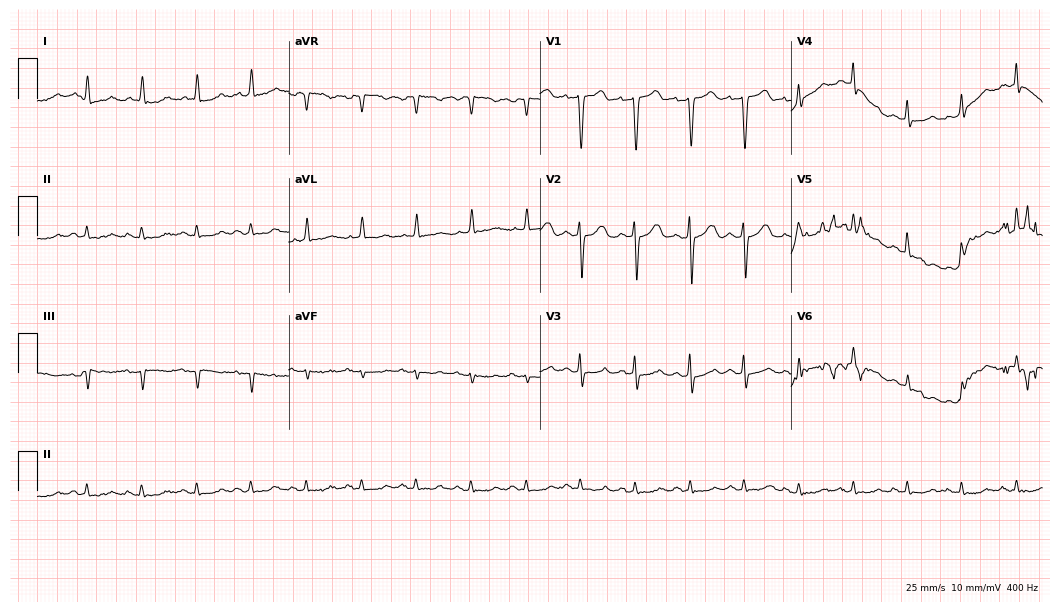
12-lead ECG from a woman, 83 years old (10.2-second recording at 400 Hz). No first-degree AV block, right bundle branch block, left bundle branch block, sinus bradycardia, atrial fibrillation or sinus tachycardia recorded for this tracing. Only these six findings were labelled.